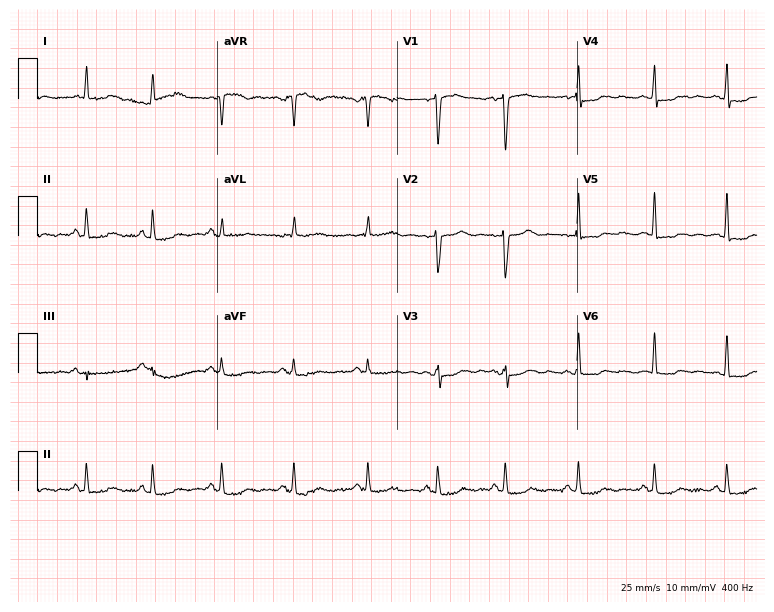
12-lead ECG from a female, 46 years old. Screened for six findings — first-degree AV block, right bundle branch block, left bundle branch block, sinus bradycardia, atrial fibrillation, sinus tachycardia — none is recorded. Only these six findings were labelled.